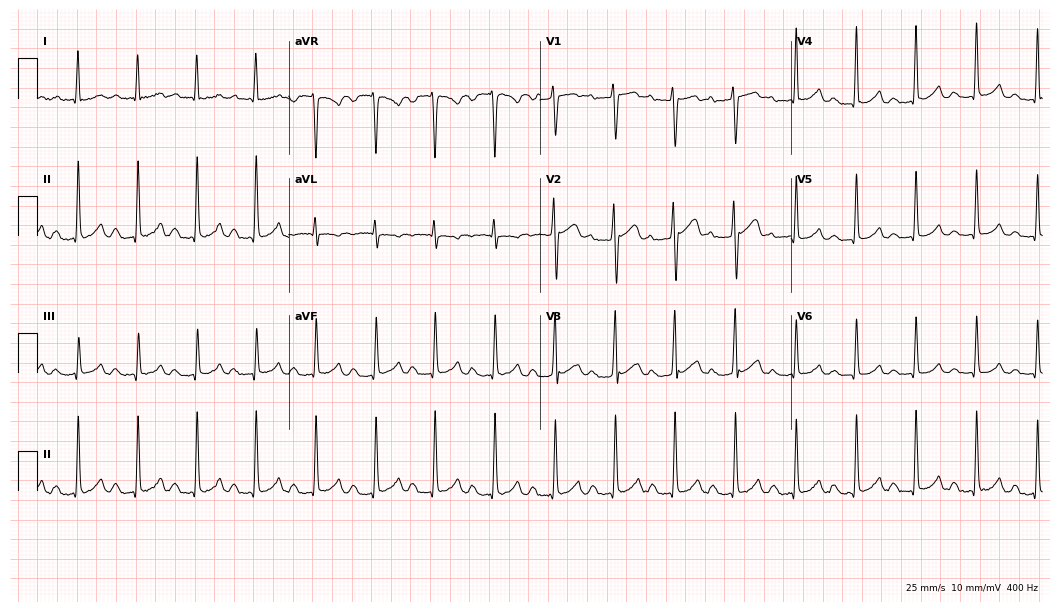
Resting 12-lead electrocardiogram. Patient: a 38-year-old female. The tracing shows first-degree AV block.